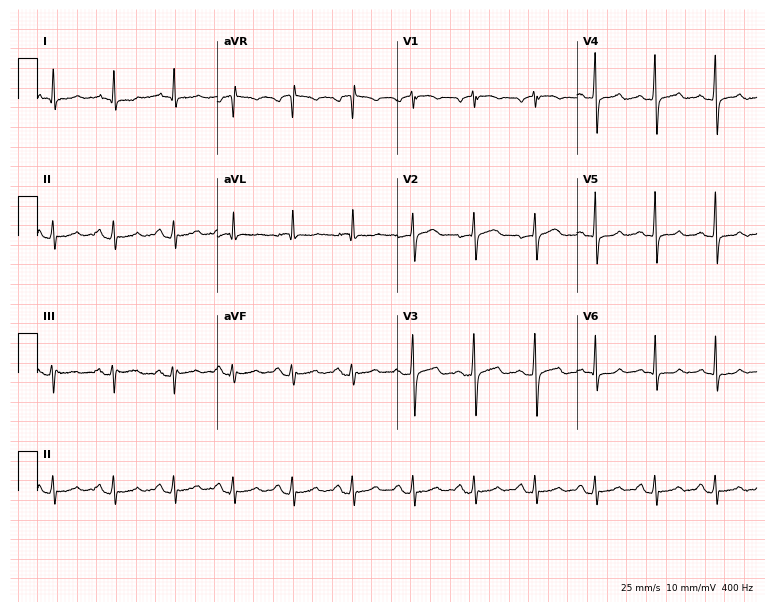
ECG (7.3-second recording at 400 Hz) — a man, 58 years old. Labelled as a normal ECG.